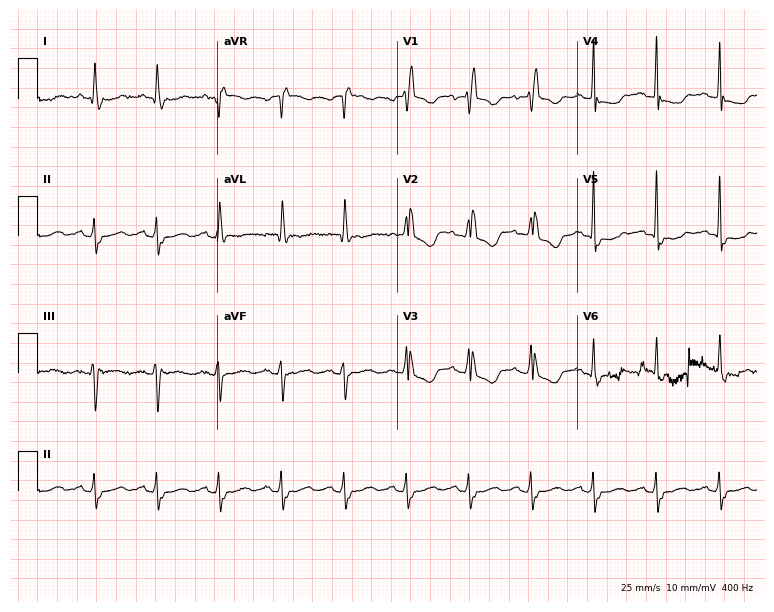
12-lead ECG from a 60-year-old female patient (7.3-second recording at 400 Hz). No first-degree AV block, right bundle branch block, left bundle branch block, sinus bradycardia, atrial fibrillation or sinus tachycardia recorded for this tracing. Findings outside these six are not listed.